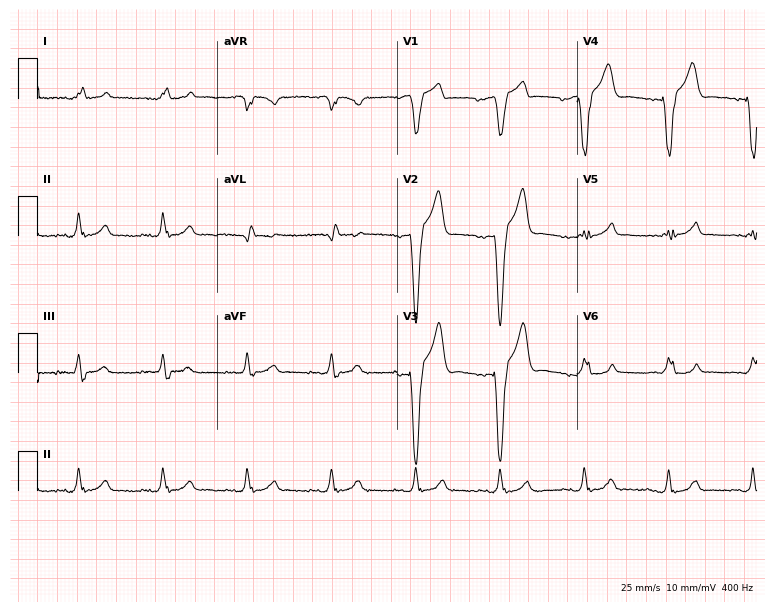
Standard 12-lead ECG recorded from a 76-year-old man (7.3-second recording at 400 Hz). The tracing shows left bundle branch block (LBBB).